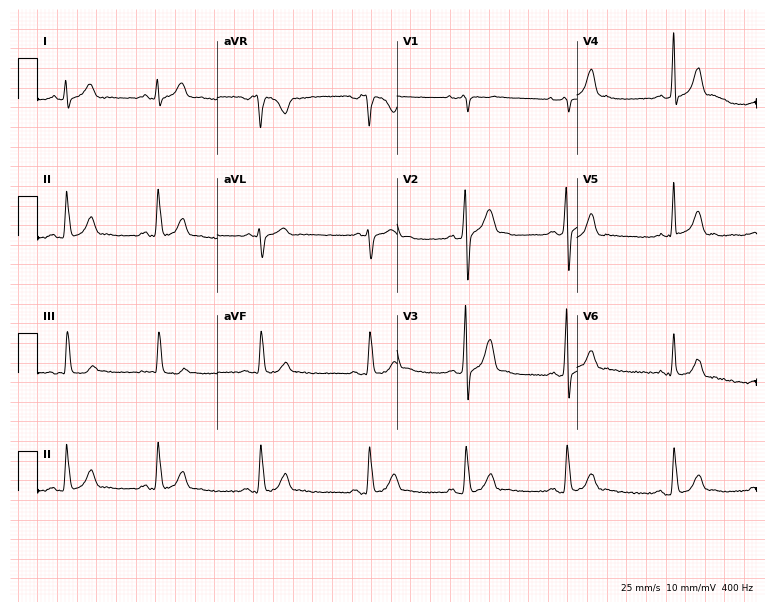
Electrocardiogram, a male patient, 19 years old. Of the six screened findings (first-degree AV block, right bundle branch block (RBBB), left bundle branch block (LBBB), sinus bradycardia, atrial fibrillation (AF), sinus tachycardia), none is recorded. Only these six findings were labelled.